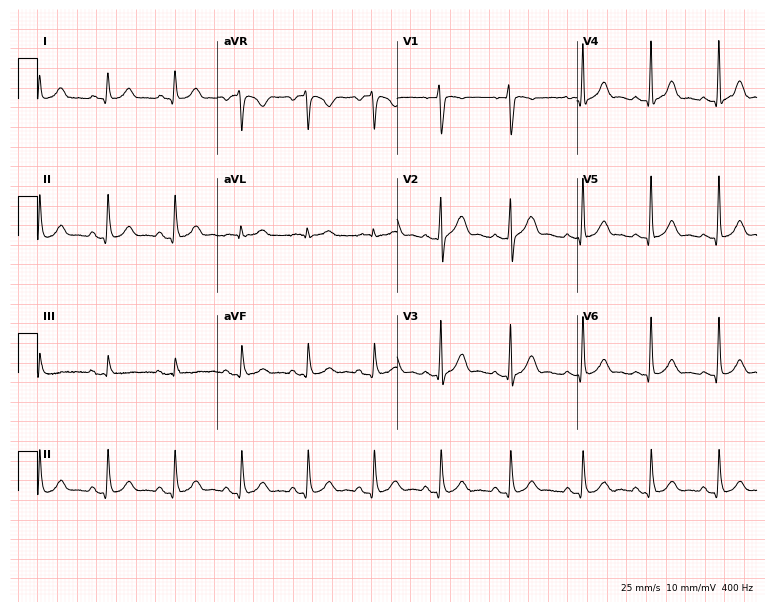
Electrocardiogram (7.3-second recording at 400 Hz), a male, 30 years old. Of the six screened findings (first-degree AV block, right bundle branch block, left bundle branch block, sinus bradycardia, atrial fibrillation, sinus tachycardia), none is recorded. Only these six findings were labelled.